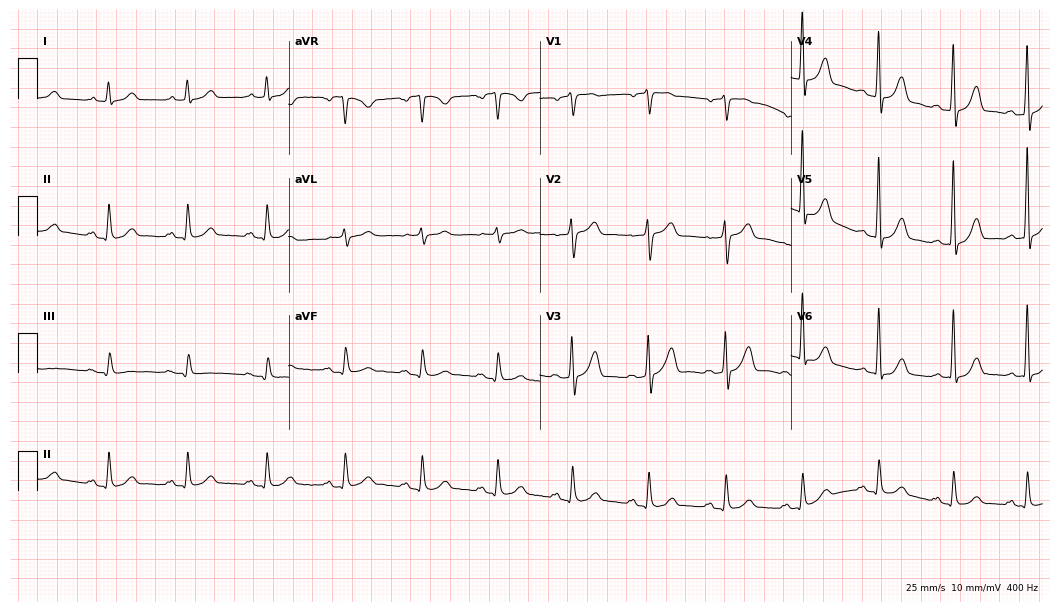
Standard 12-lead ECG recorded from a 61-year-old man. Read as a normal ECG.